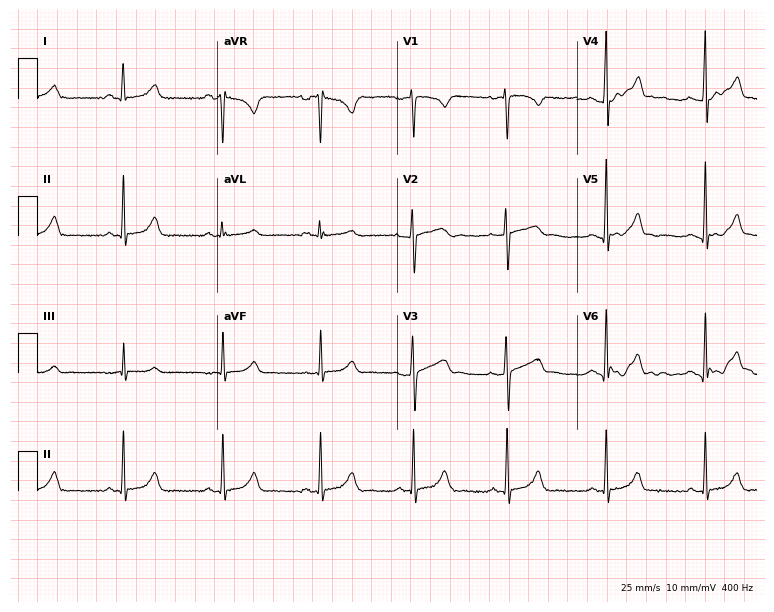
Standard 12-lead ECG recorded from a 32-year-old female patient (7.3-second recording at 400 Hz). Read as a normal ECG.